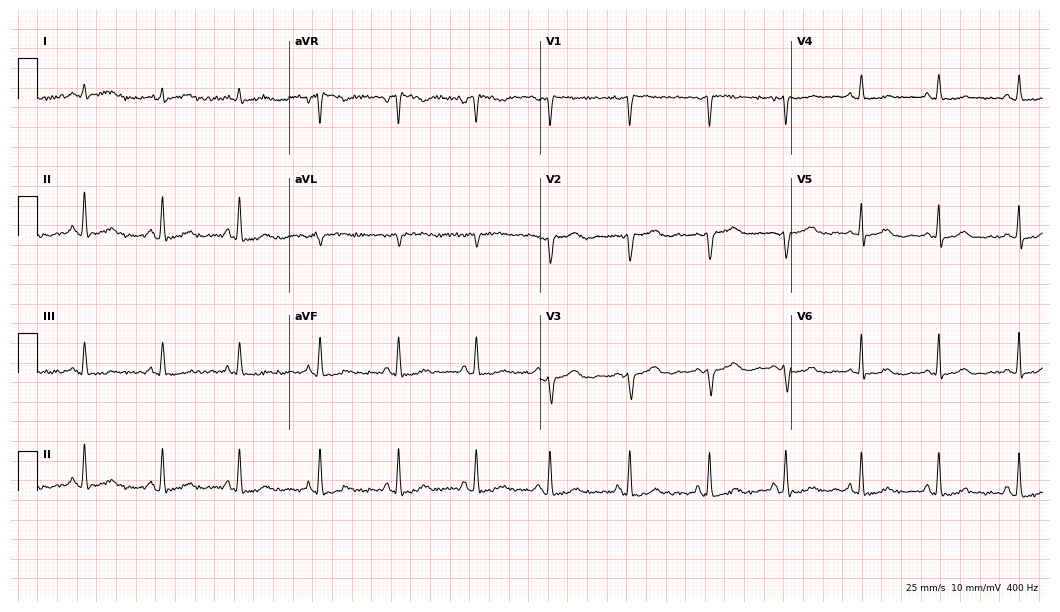
Electrocardiogram, a 48-year-old female. Overall reading on record: normal ECG.